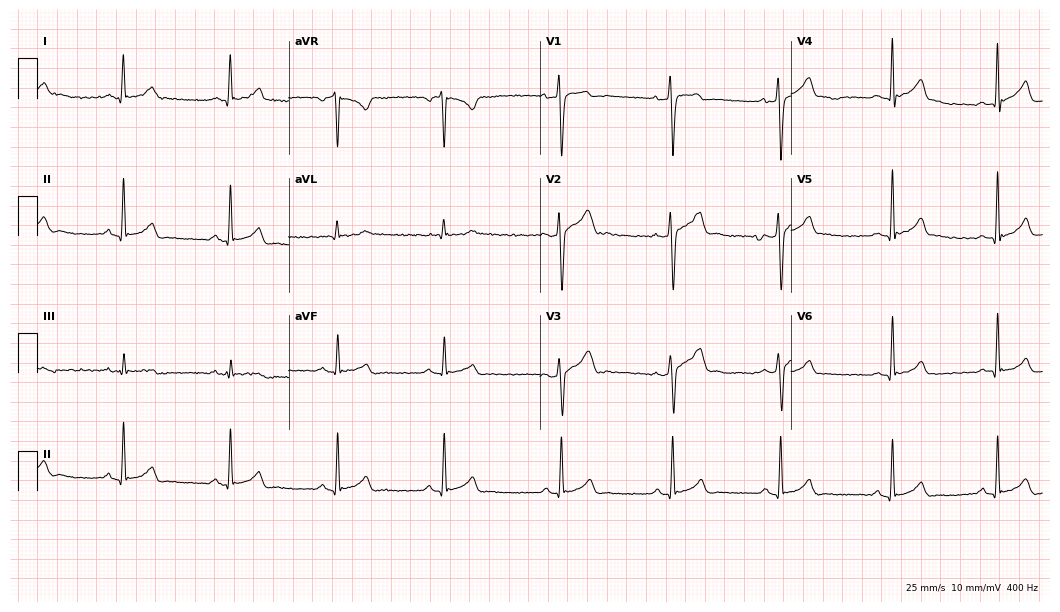
Electrocardiogram, a male patient, 25 years old. Overall reading on record: normal ECG.